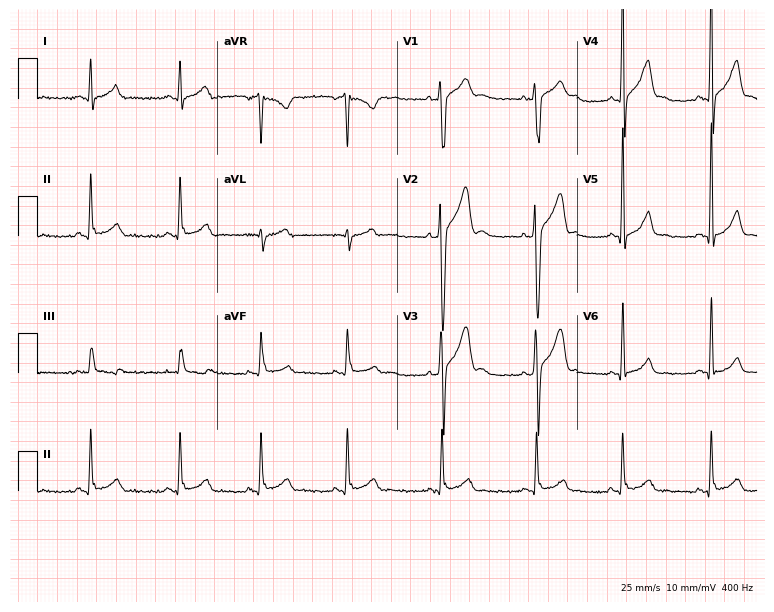
Standard 12-lead ECG recorded from a man, 18 years old (7.3-second recording at 400 Hz). Read as a normal ECG.